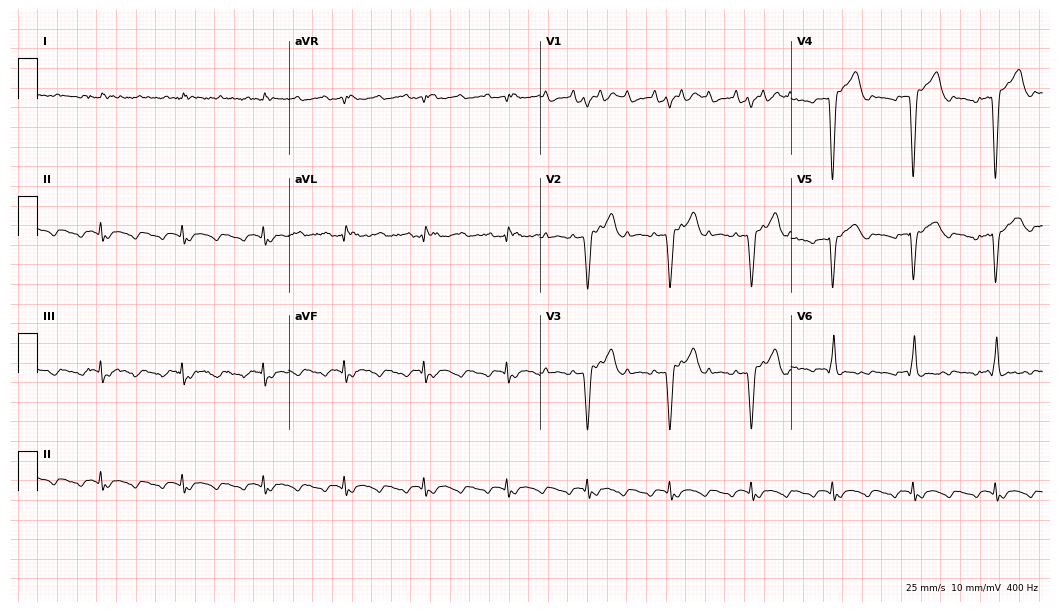
Resting 12-lead electrocardiogram (10.2-second recording at 400 Hz). Patient: a 61-year-old man. None of these six findings is recorded: first-degree AV block, right bundle branch block, left bundle branch block, sinus bradycardia, atrial fibrillation, sinus tachycardia.